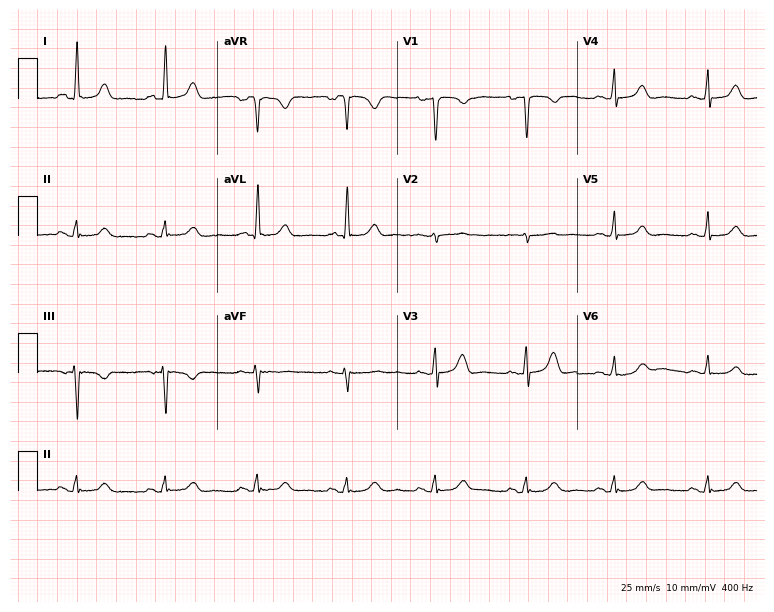
Resting 12-lead electrocardiogram (7.3-second recording at 400 Hz). Patient: a 51-year-old female. None of these six findings is recorded: first-degree AV block, right bundle branch block, left bundle branch block, sinus bradycardia, atrial fibrillation, sinus tachycardia. Only these six findings were labelled.